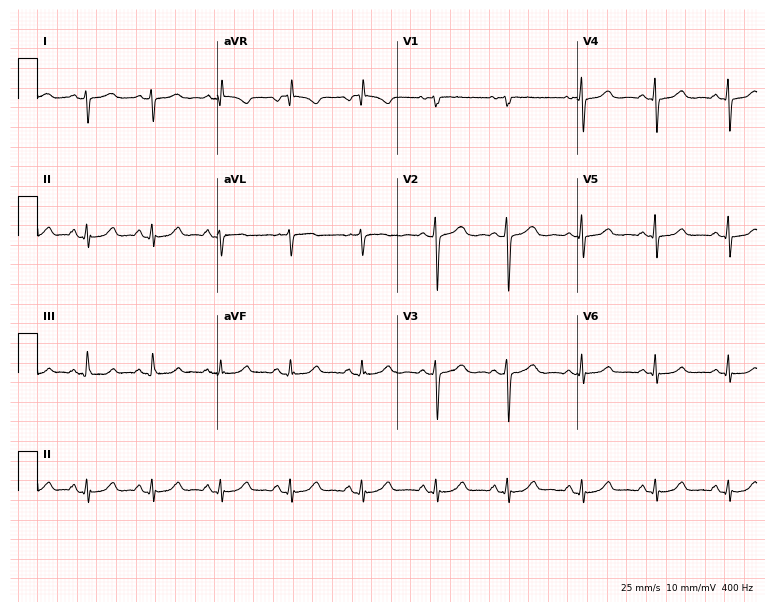
12-lead ECG from a 50-year-old female patient (7.3-second recording at 400 Hz). No first-degree AV block, right bundle branch block (RBBB), left bundle branch block (LBBB), sinus bradycardia, atrial fibrillation (AF) or sinus tachycardia recorded for this tracing.